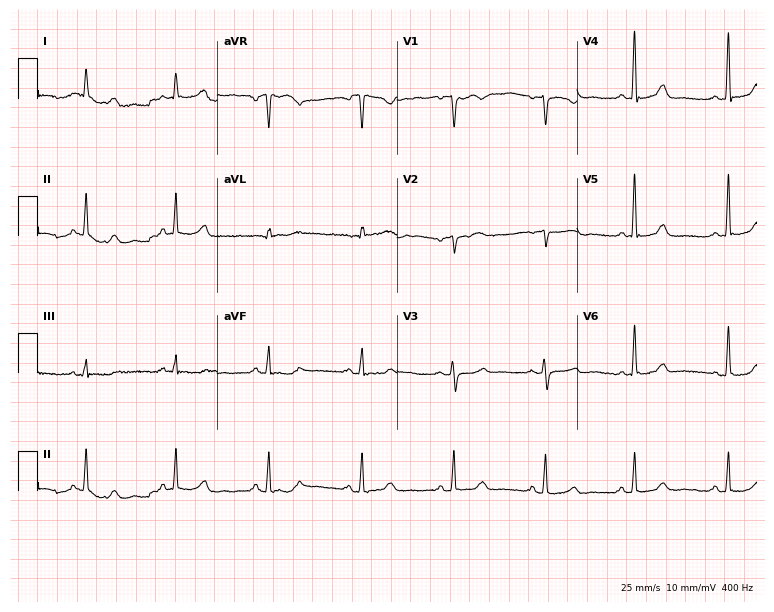
ECG (7.3-second recording at 400 Hz) — a female patient, 49 years old. Labelled as a normal ECG.